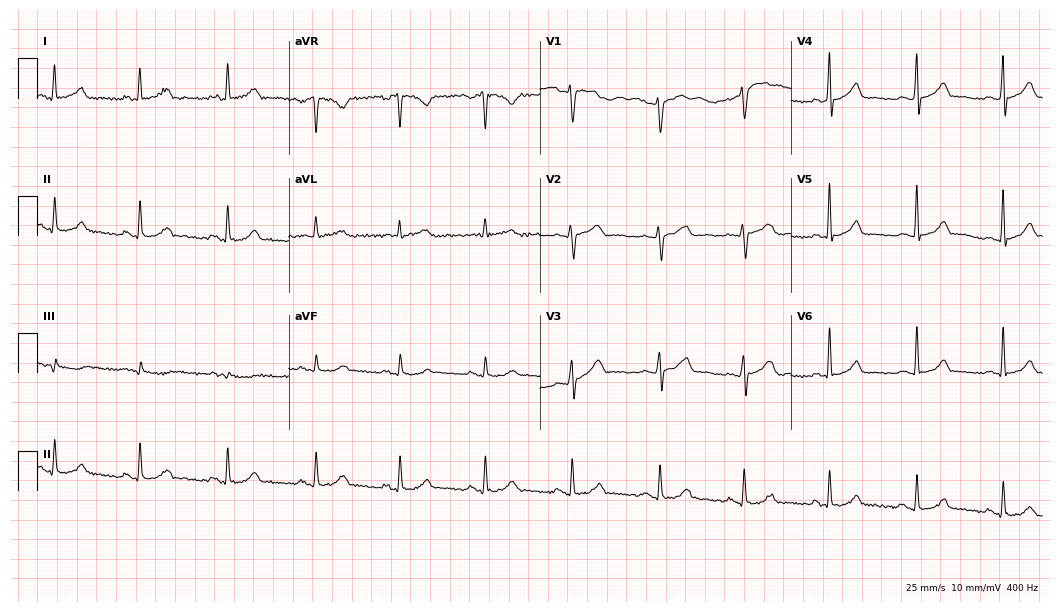
Electrocardiogram (10.2-second recording at 400 Hz), a woman, 39 years old. Of the six screened findings (first-degree AV block, right bundle branch block, left bundle branch block, sinus bradycardia, atrial fibrillation, sinus tachycardia), none is recorded.